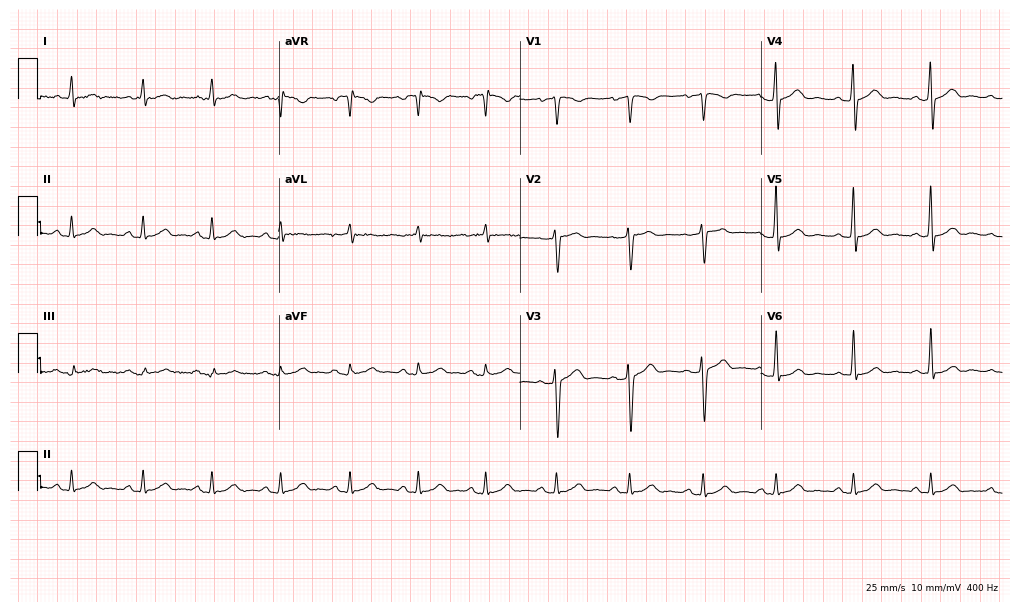
12-lead ECG from a 25-year-old male (9.8-second recording at 400 Hz). Recorded interpretation: within normal limits.